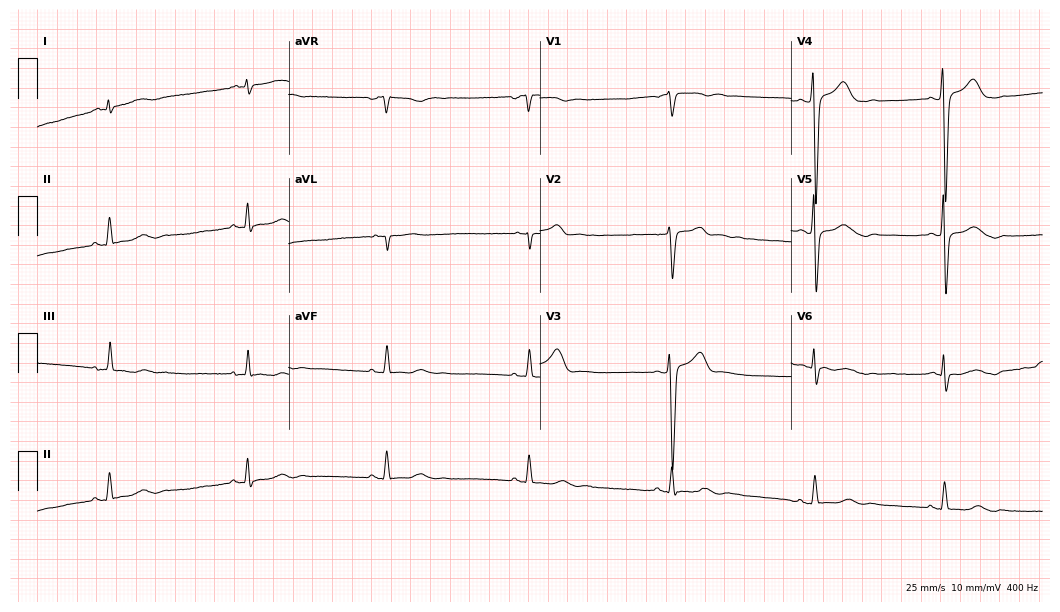
Electrocardiogram (10.2-second recording at 400 Hz), a 53-year-old man. Interpretation includes sinus bradycardia (a sinus rate of 50 beats per minute or less).